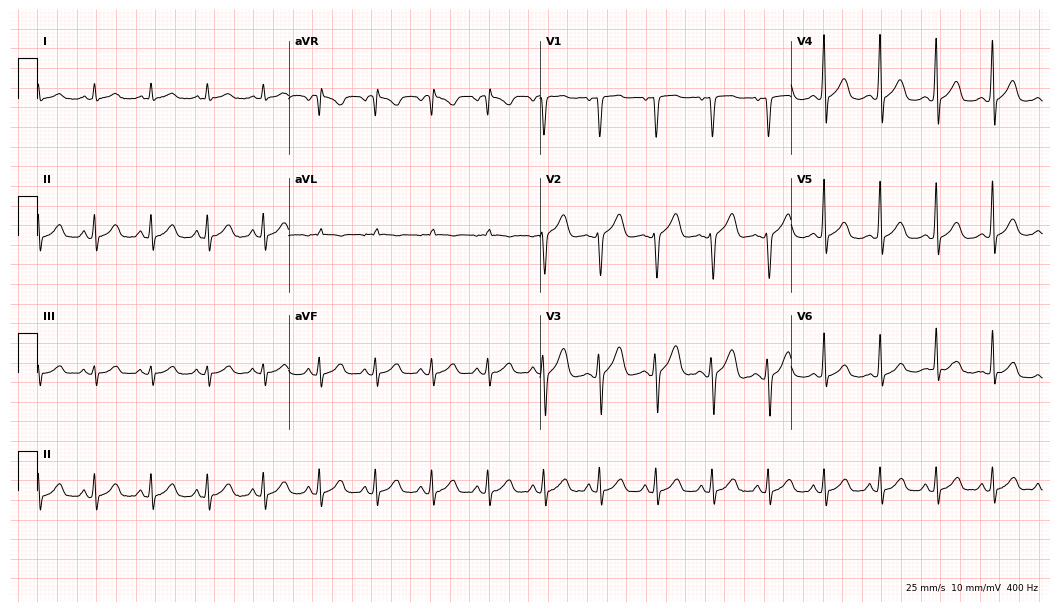
12-lead ECG from a 38-year-old male. Findings include sinus tachycardia (a sinus rate of 100 beats per minute or more).